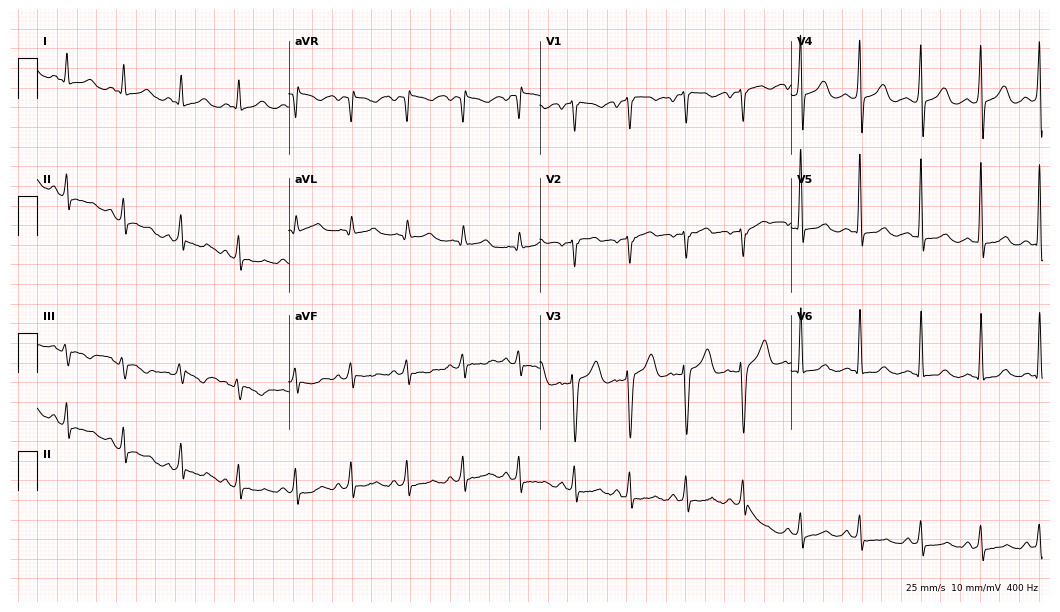
Electrocardiogram, a male, 30 years old. Interpretation includes sinus tachycardia (a sinus rate of 100 beats per minute or more).